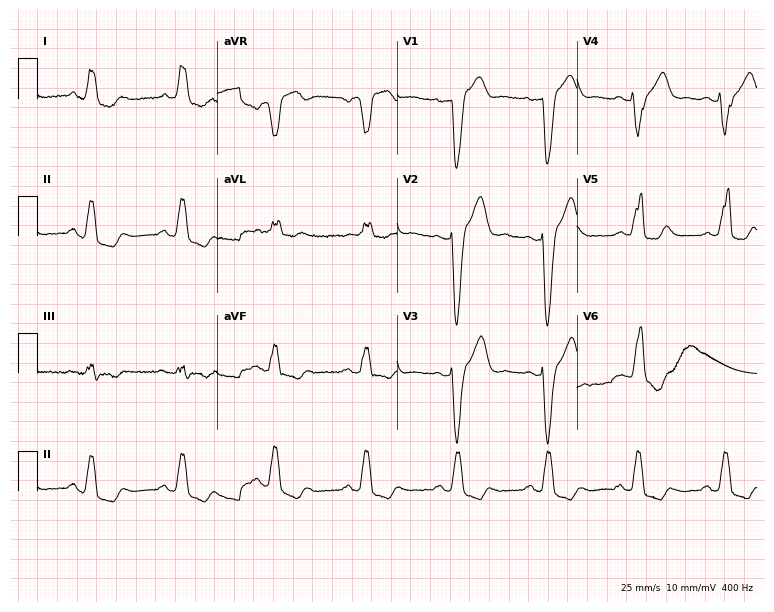
Standard 12-lead ECG recorded from a 76-year-old male patient (7.3-second recording at 400 Hz). The tracing shows left bundle branch block.